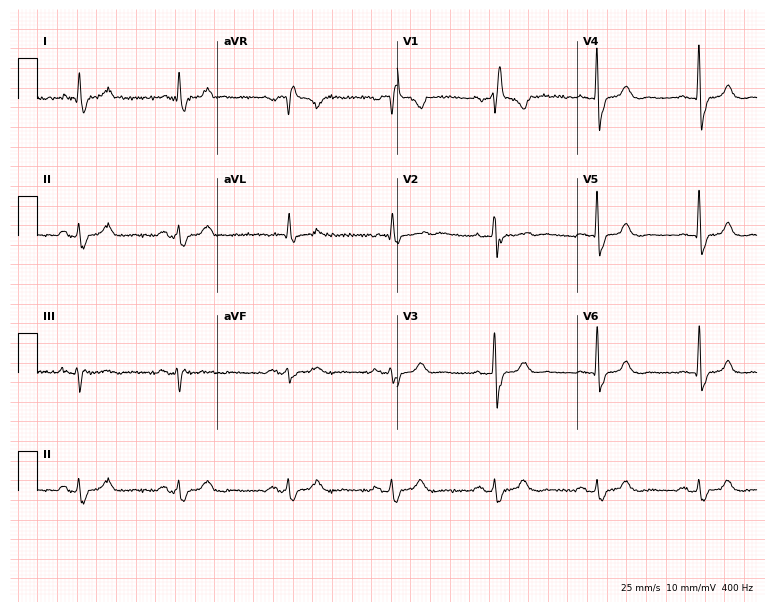
Standard 12-lead ECG recorded from an 84-year-old male patient (7.3-second recording at 400 Hz). The tracing shows right bundle branch block (RBBB).